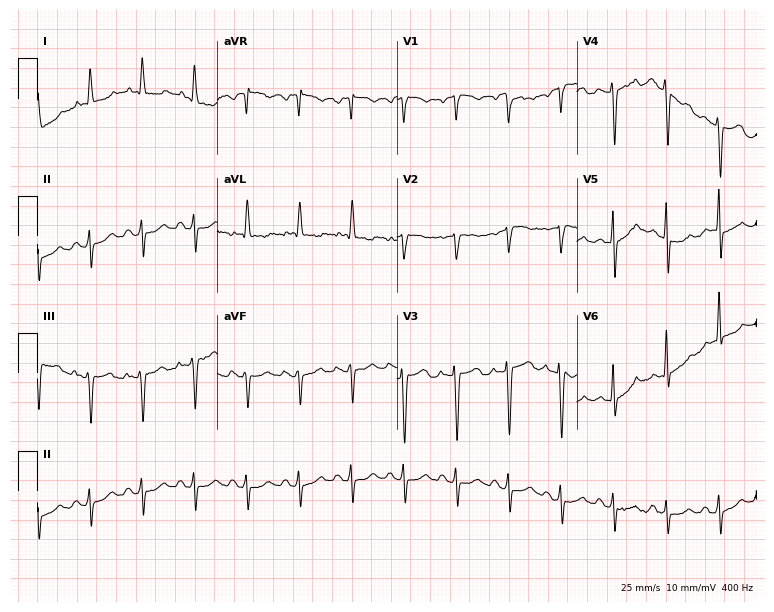
Standard 12-lead ECG recorded from a female, 36 years old (7.3-second recording at 400 Hz). None of these six findings is recorded: first-degree AV block, right bundle branch block (RBBB), left bundle branch block (LBBB), sinus bradycardia, atrial fibrillation (AF), sinus tachycardia. Other findings, if any, are not listed.